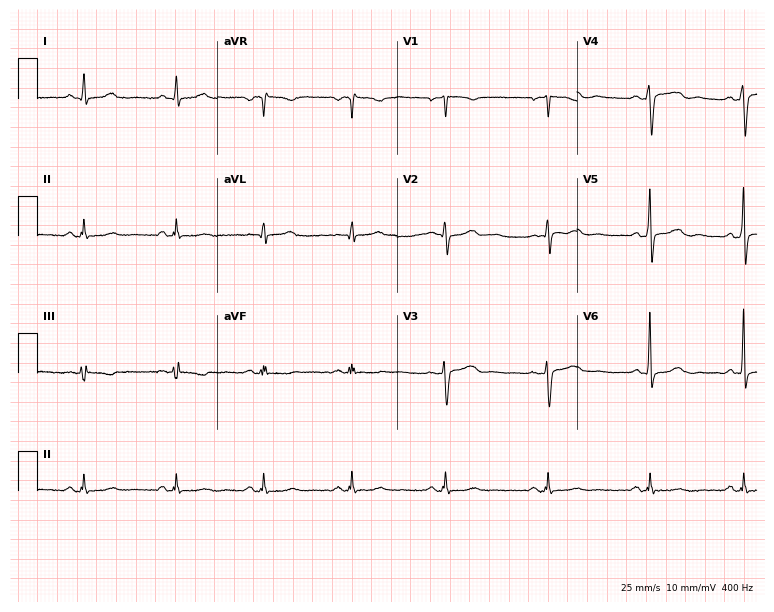
Resting 12-lead electrocardiogram. Patient: a 57-year-old female. None of these six findings is recorded: first-degree AV block, right bundle branch block, left bundle branch block, sinus bradycardia, atrial fibrillation, sinus tachycardia. Other findings, if any, are not listed.